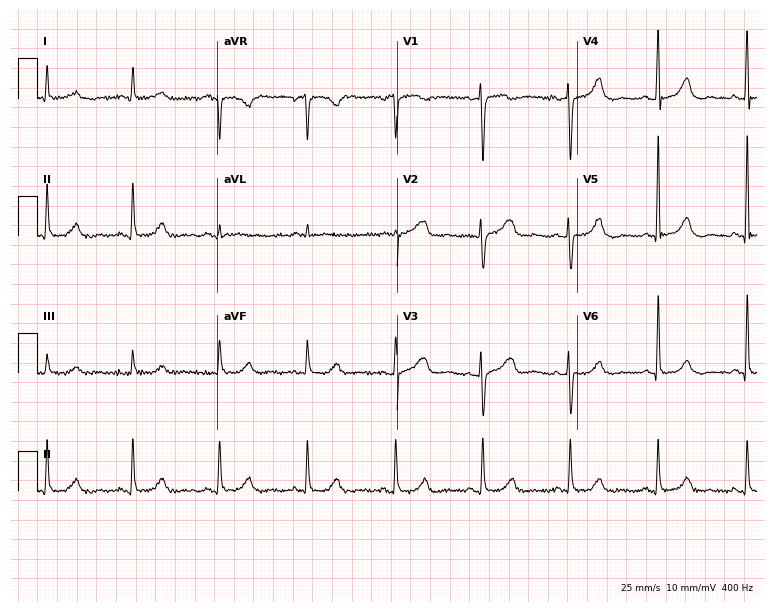
ECG — a 58-year-old woman. Screened for six findings — first-degree AV block, right bundle branch block, left bundle branch block, sinus bradycardia, atrial fibrillation, sinus tachycardia — none is recorded.